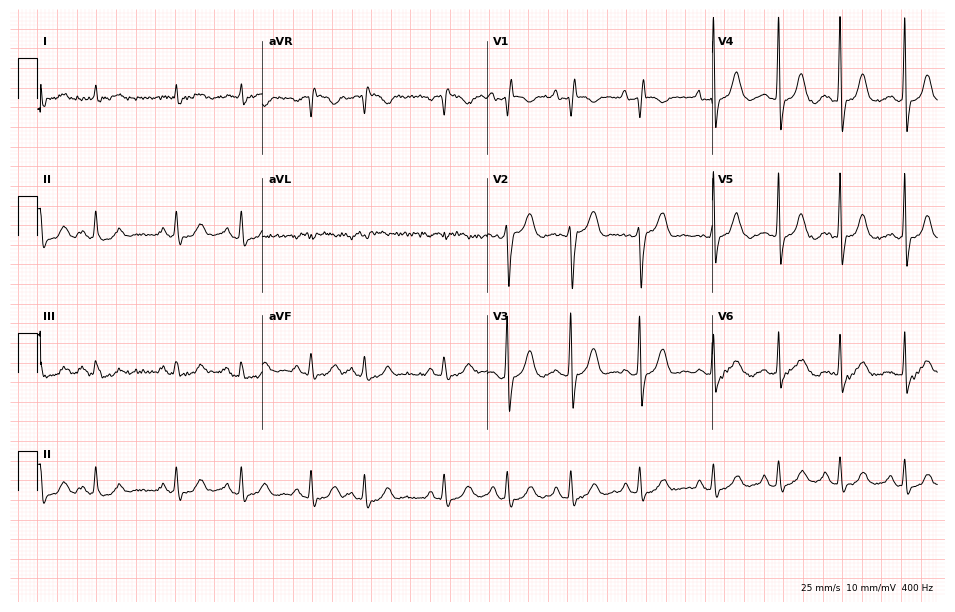
Electrocardiogram (9.2-second recording at 400 Hz), a male, 78 years old. Of the six screened findings (first-degree AV block, right bundle branch block, left bundle branch block, sinus bradycardia, atrial fibrillation, sinus tachycardia), none is recorded.